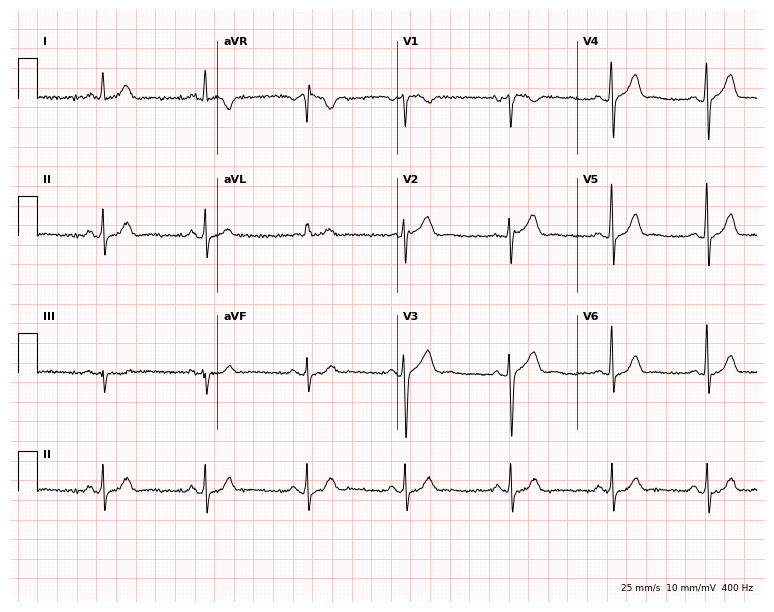
Resting 12-lead electrocardiogram. Patient: a male, 44 years old. Read as a normal ECG.